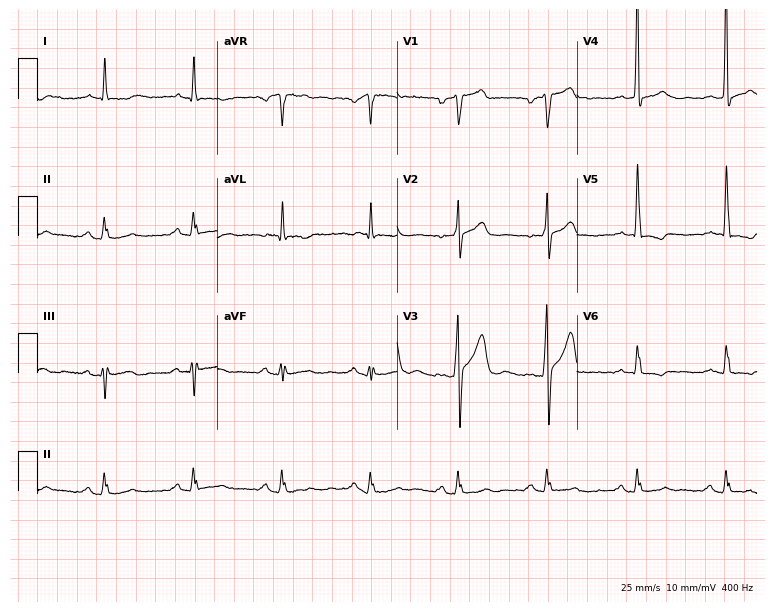
12-lead ECG from a male, 62 years old (7.3-second recording at 400 Hz). No first-degree AV block, right bundle branch block (RBBB), left bundle branch block (LBBB), sinus bradycardia, atrial fibrillation (AF) or sinus tachycardia recorded for this tracing. Findings outside these six are not listed.